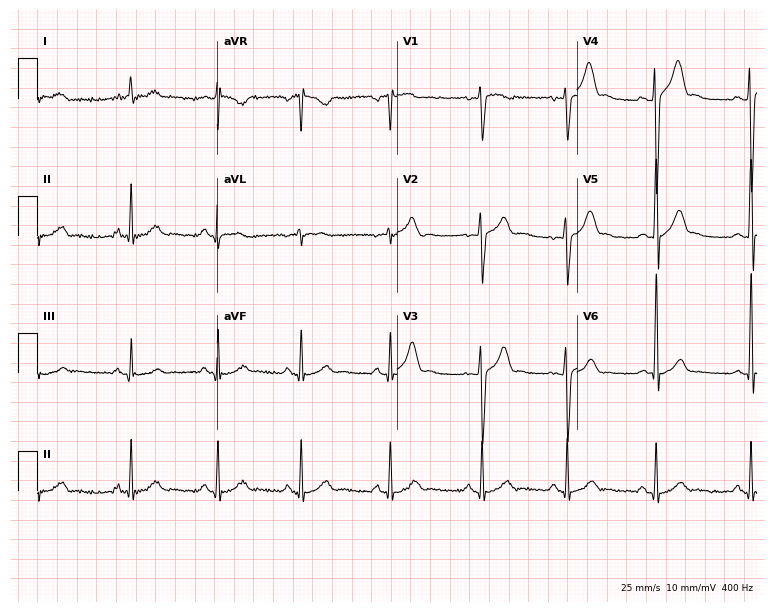
Resting 12-lead electrocardiogram (7.3-second recording at 400 Hz). Patient: a male, 22 years old. Read as a normal ECG.